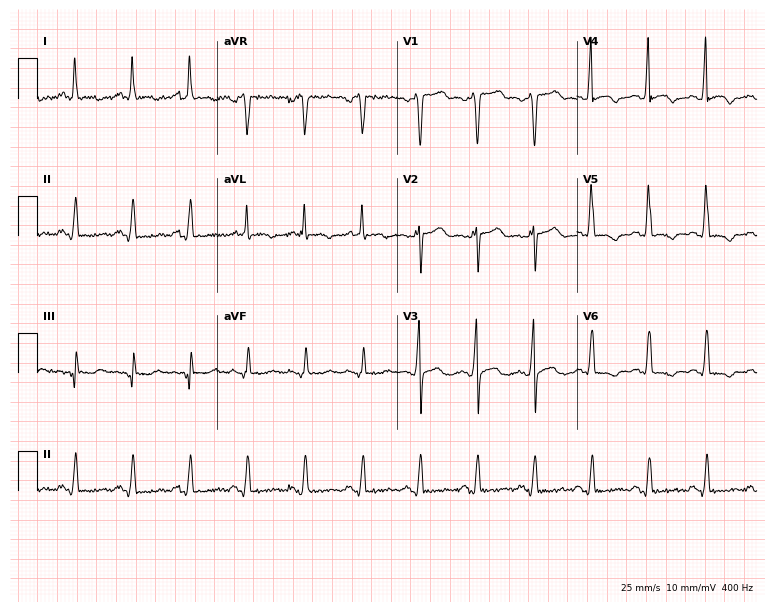
ECG — a male patient, 55 years old. Screened for six findings — first-degree AV block, right bundle branch block, left bundle branch block, sinus bradycardia, atrial fibrillation, sinus tachycardia — none is recorded. Other findings, if any, are not listed.